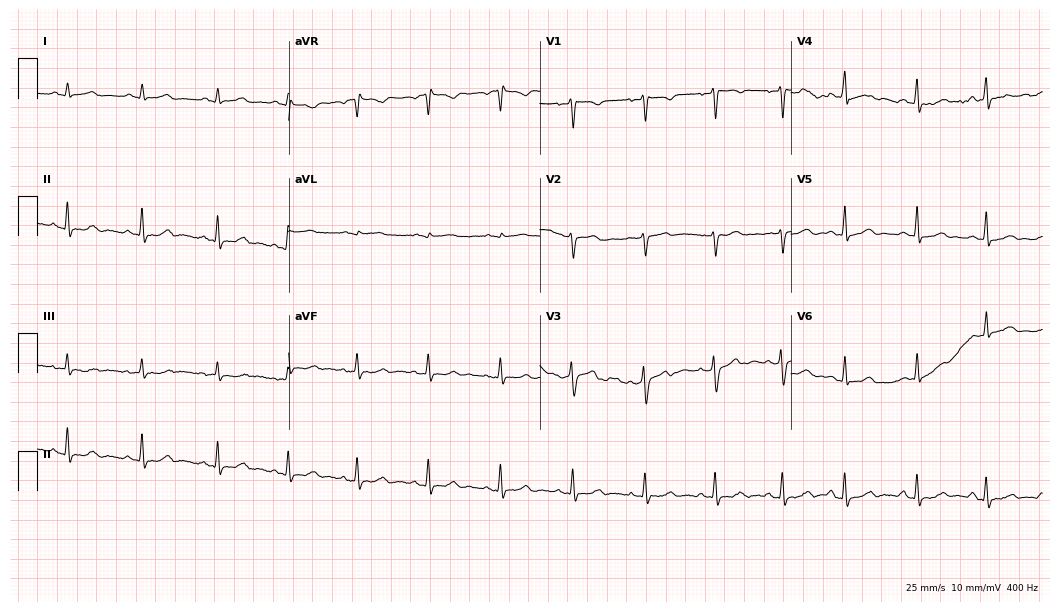
ECG — a 22-year-old man. Labelled as a normal ECG.